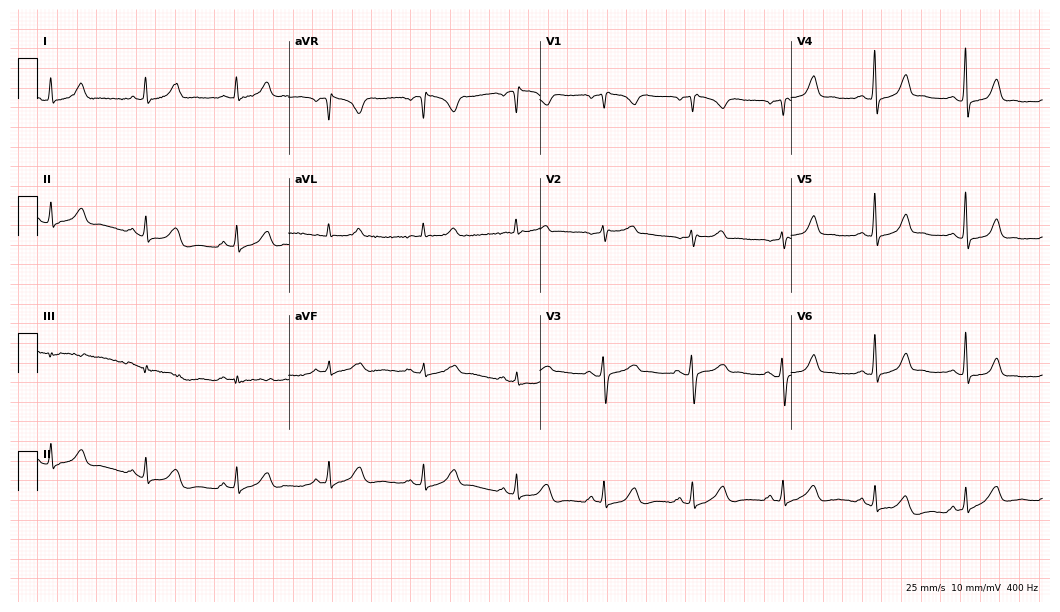
12-lead ECG from a woman, 58 years old. Screened for six findings — first-degree AV block, right bundle branch block, left bundle branch block, sinus bradycardia, atrial fibrillation, sinus tachycardia — none is recorded.